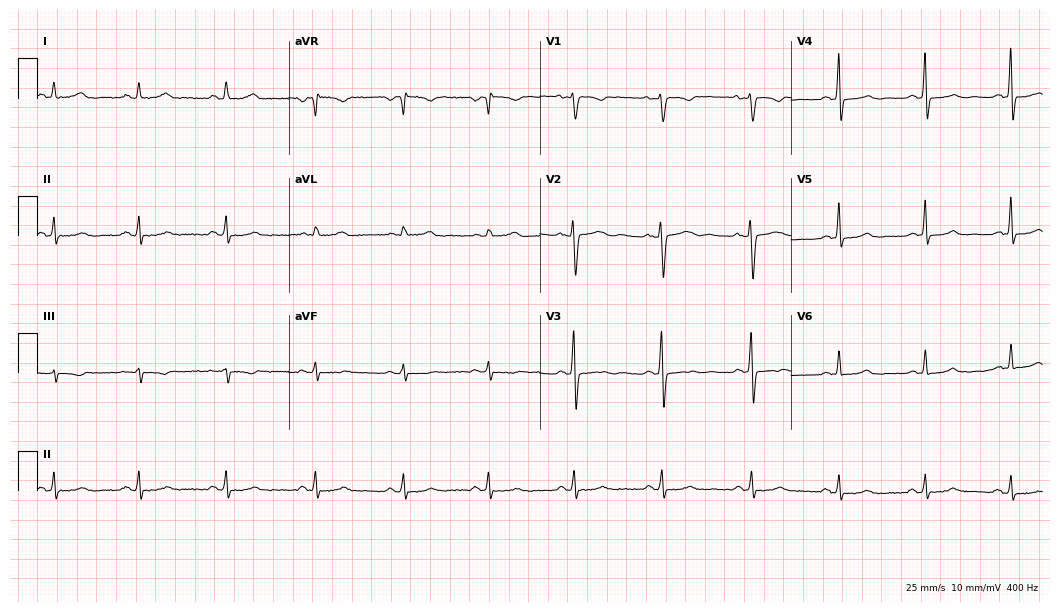
Resting 12-lead electrocardiogram (10.2-second recording at 400 Hz). Patient: a 47-year-old woman. None of these six findings is recorded: first-degree AV block, right bundle branch block, left bundle branch block, sinus bradycardia, atrial fibrillation, sinus tachycardia. Findings outside these six are not listed.